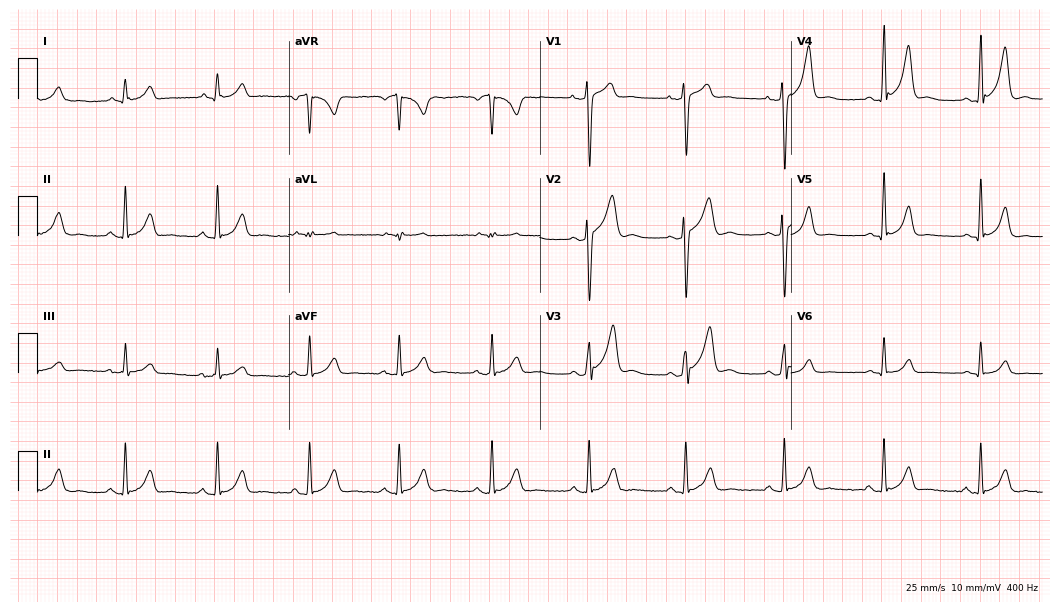
Standard 12-lead ECG recorded from a 38-year-old male (10.2-second recording at 400 Hz). Read as a normal ECG.